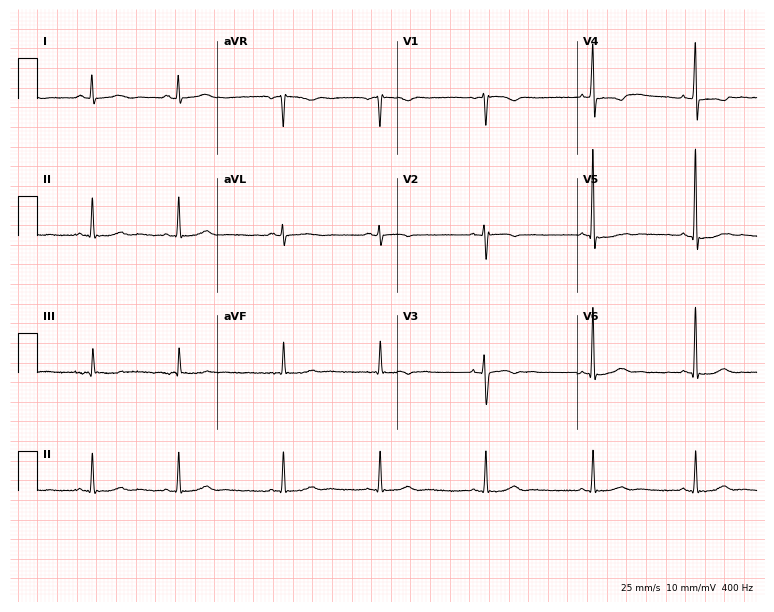
Resting 12-lead electrocardiogram (7.3-second recording at 400 Hz). Patient: a 39-year-old female. None of these six findings is recorded: first-degree AV block, right bundle branch block, left bundle branch block, sinus bradycardia, atrial fibrillation, sinus tachycardia. Only these six findings were labelled.